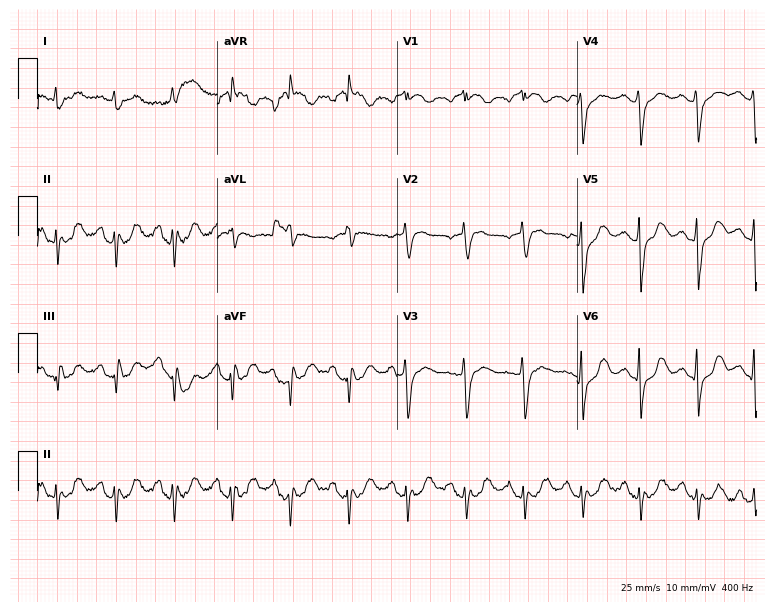
Standard 12-lead ECG recorded from a 62-year-old female patient (7.3-second recording at 400 Hz). None of these six findings is recorded: first-degree AV block, right bundle branch block (RBBB), left bundle branch block (LBBB), sinus bradycardia, atrial fibrillation (AF), sinus tachycardia. Other findings, if any, are not listed.